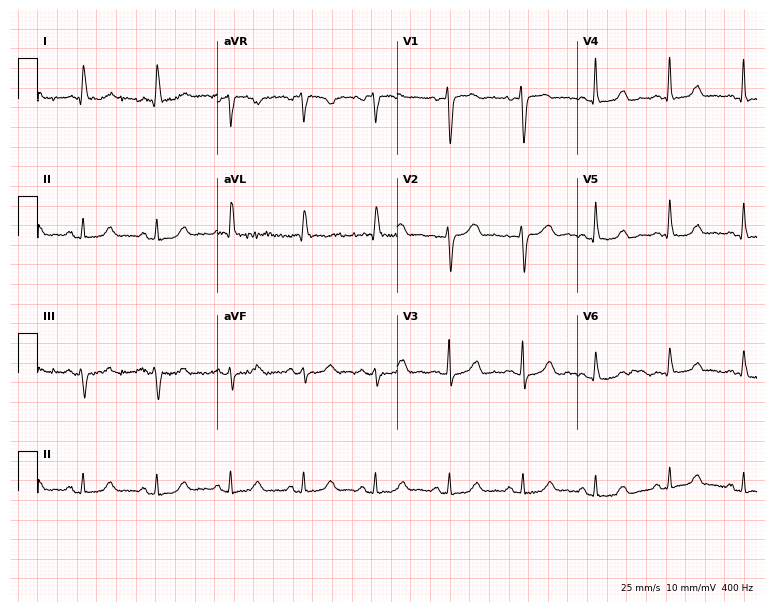
12-lead ECG from a 79-year-old woman. No first-degree AV block, right bundle branch block, left bundle branch block, sinus bradycardia, atrial fibrillation or sinus tachycardia recorded for this tracing. Findings outside these six are not listed.